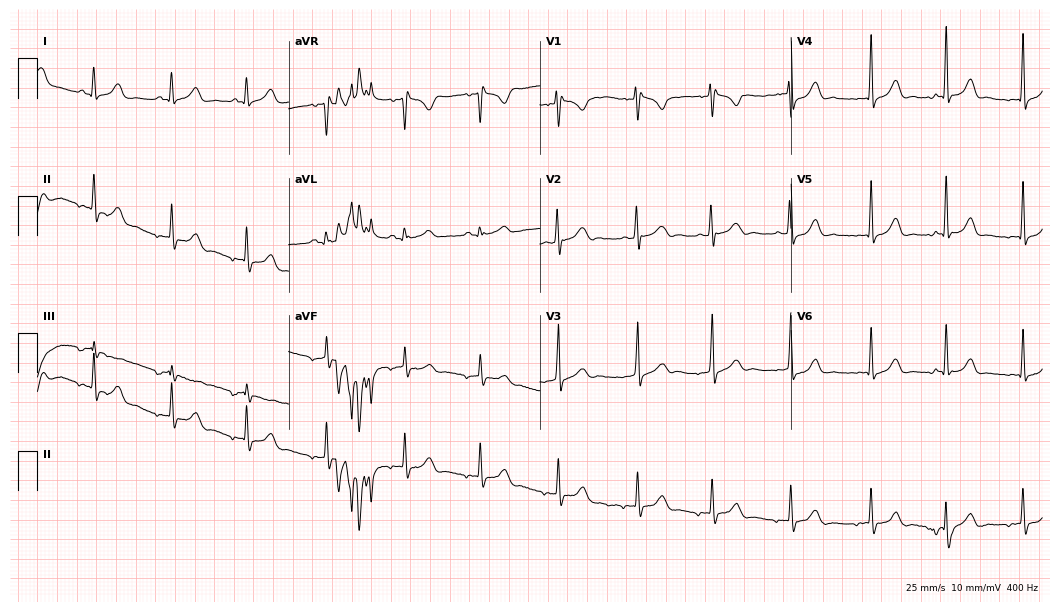
Electrocardiogram, a woman, 18 years old. Of the six screened findings (first-degree AV block, right bundle branch block, left bundle branch block, sinus bradycardia, atrial fibrillation, sinus tachycardia), none is recorded. Only these six findings were labelled.